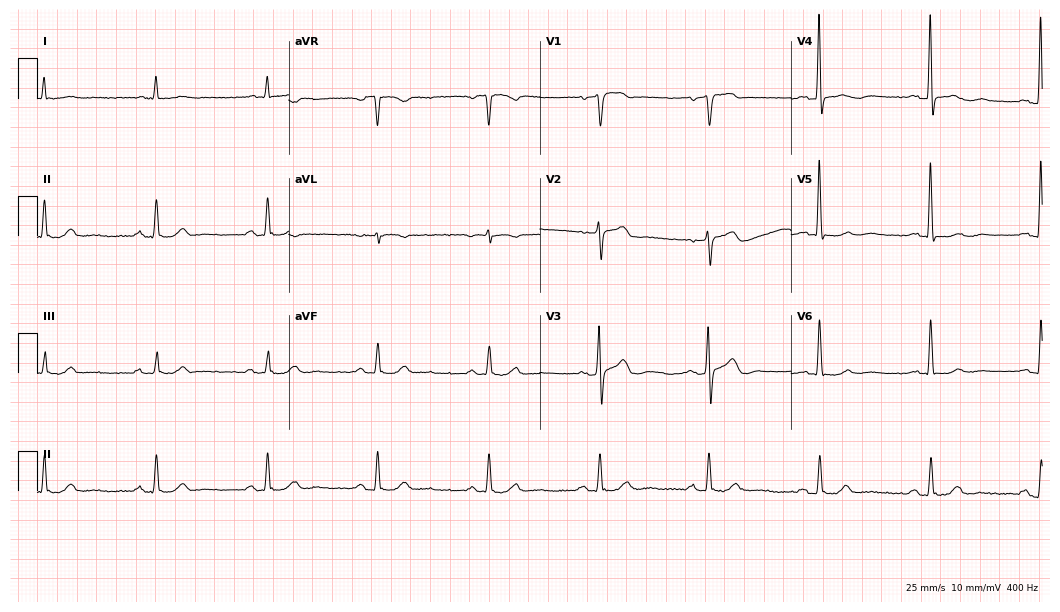
Standard 12-lead ECG recorded from a man, 82 years old. None of these six findings is recorded: first-degree AV block, right bundle branch block (RBBB), left bundle branch block (LBBB), sinus bradycardia, atrial fibrillation (AF), sinus tachycardia.